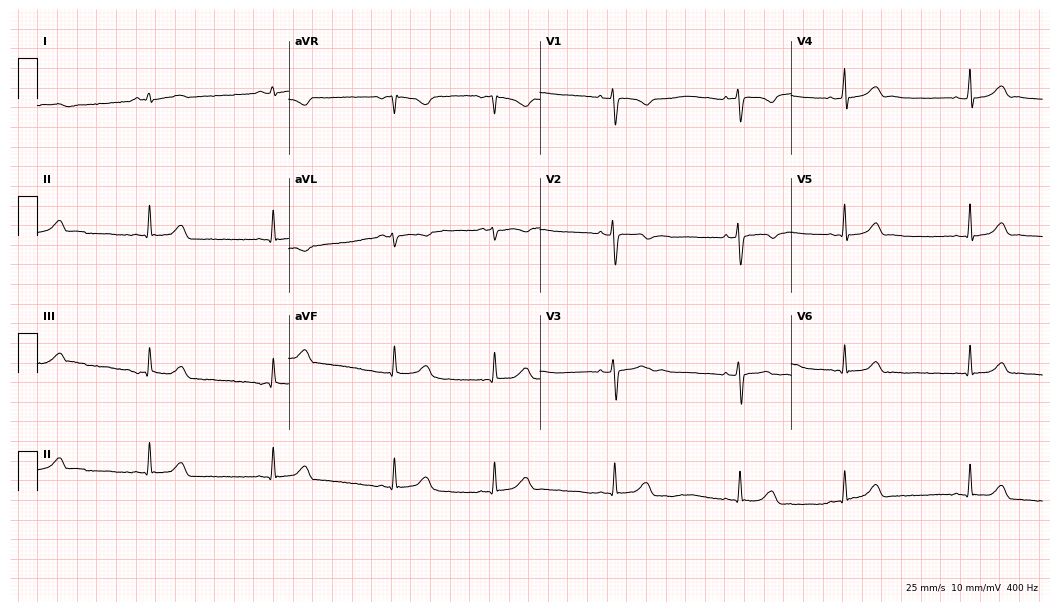
Resting 12-lead electrocardiogram. Patient: a female, 20 years old. Read as a normal ECG.